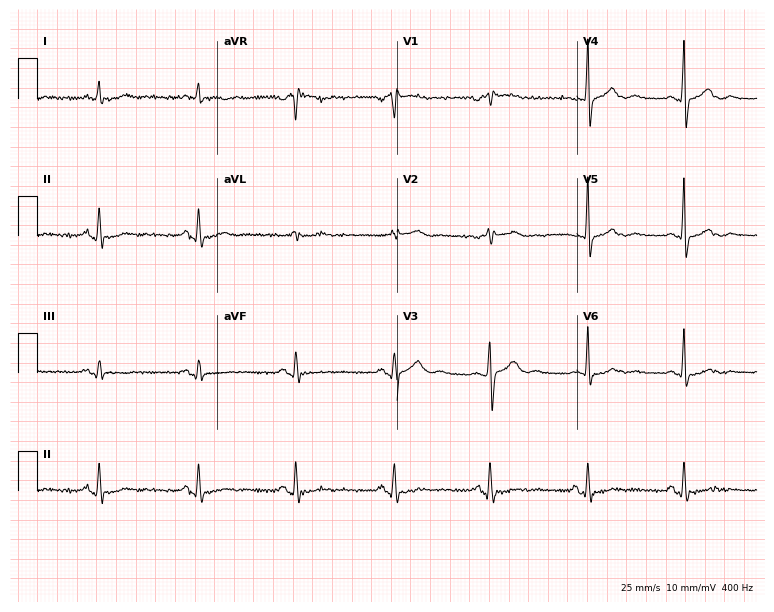
12-lead ECG from a woman, 51 years old (7.3-second recording at 400 Hz). Recorded interpretation: within normal limits.